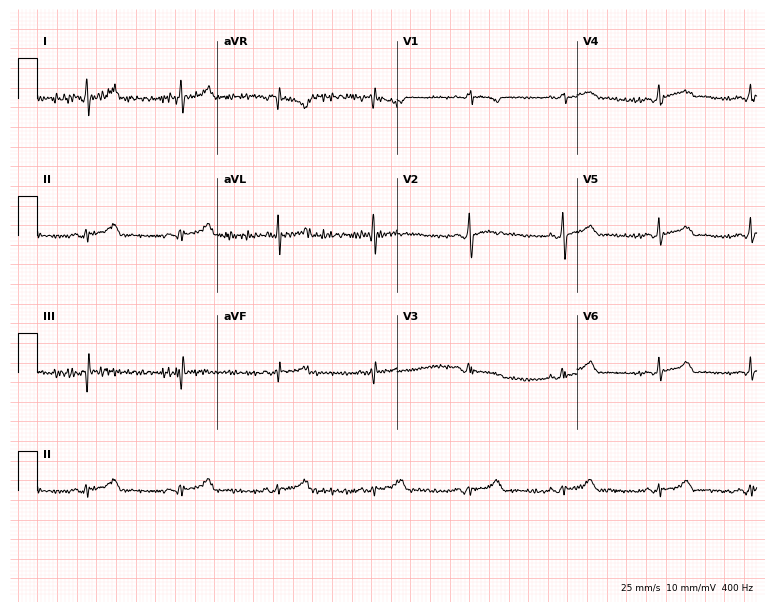
ECG — a male, 24 years old. Labelled as a normal ECG.